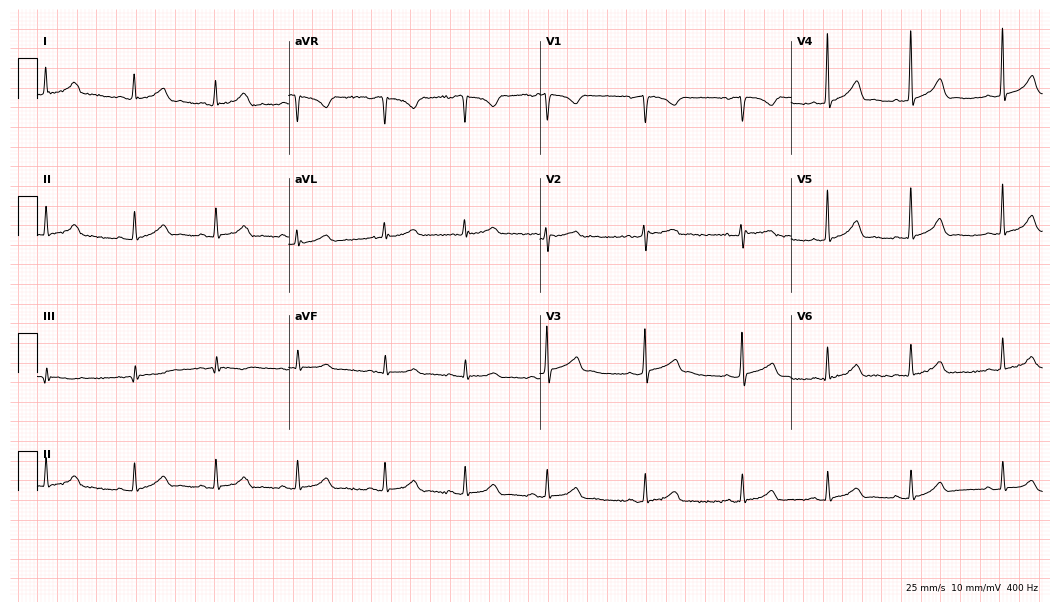
Standard 12-lead ECG recorded from a female patient, 33 years old (10.2-second recording at 400 Hz). None of these six findings is recorded: first-degree AV block, right bundle branch block, left bundle branch block, sinus bradycardia, atrial fibrillation, sinus tachycardia. Only these six findings were labelled.